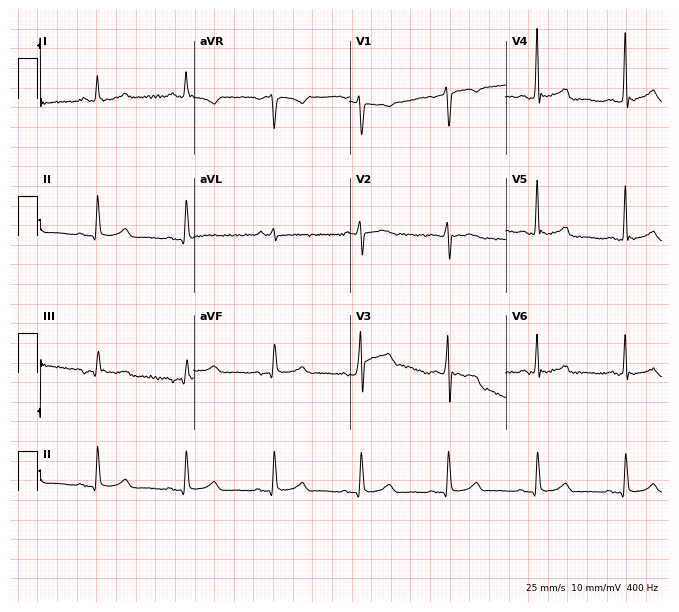
ECG — a 67-year-old man. Labelled as a normal ECG.